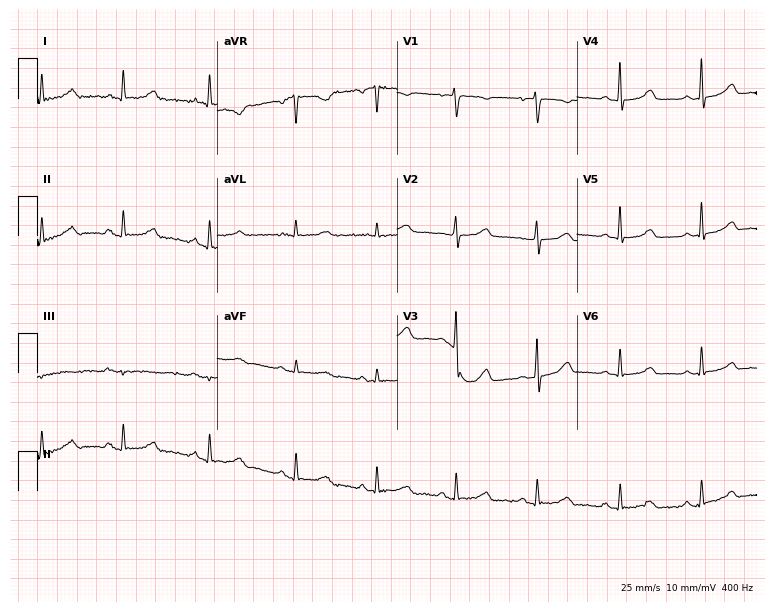
Standard 12-lead ECG recorded from a female patient, 39 years old (7.3-second recording at 400 Hz). None of these six findings is recorded: first-degree AV block, right bundle branch block (RBBB), left bundle branch block (LBBB), sinus bradycardia, atrial fibrillation (AF), sinus tachycardia.